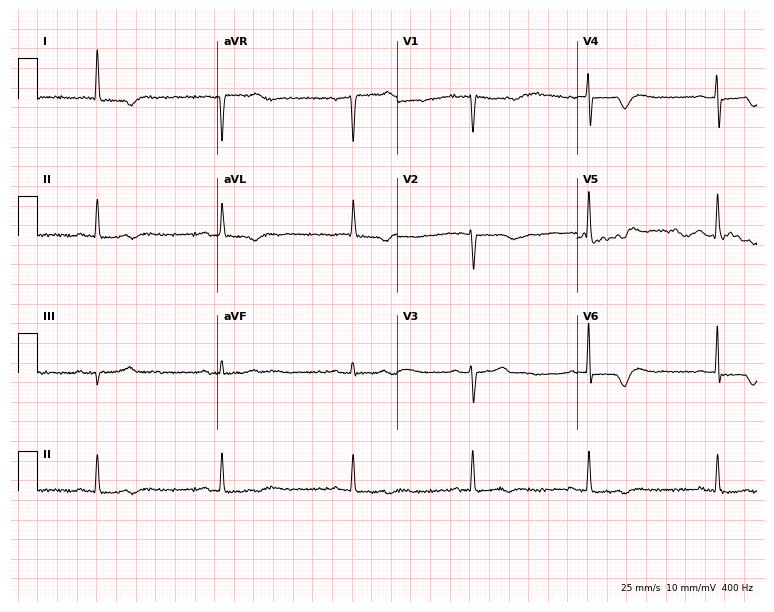
12-lead ECG from a female, 75 years old. No first-degree AV block, right bundle branch block, left bundle branch block, sinus bradycardia, atrial fibrillation or sinus tachycardia recorded for this tracing.